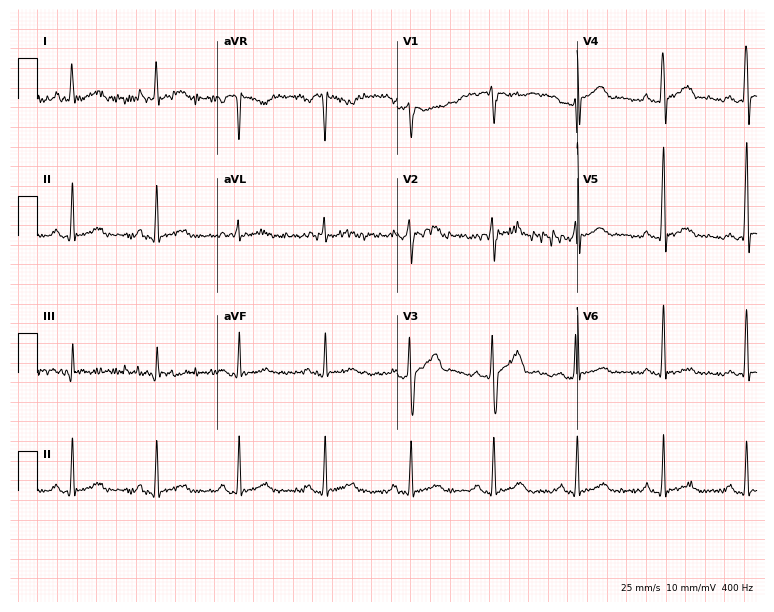
12-lead ECG (7.3-second recording at 400 Hz) from a 36-year-old male. Labelled as a normal ECG.